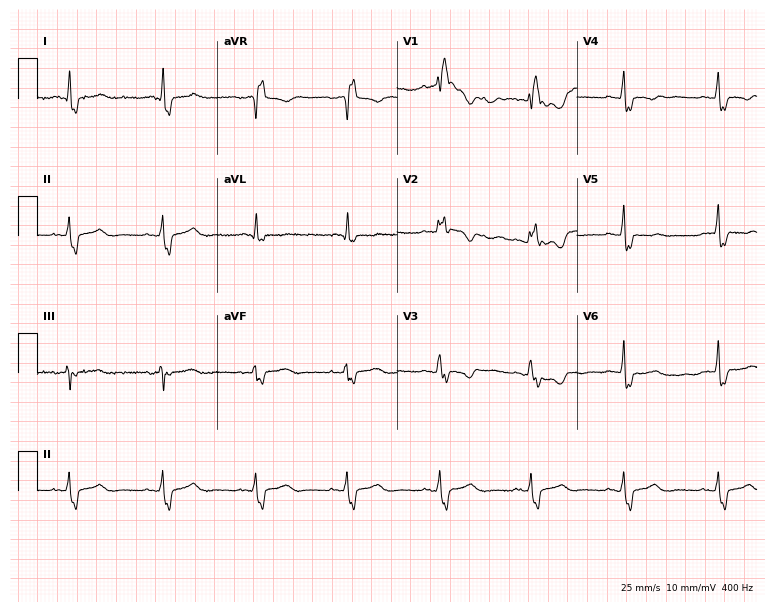
ECG (7.3-second recording at 400 Hz) — a 45-year-old man. Findings include right bundle branch block (RBBB).